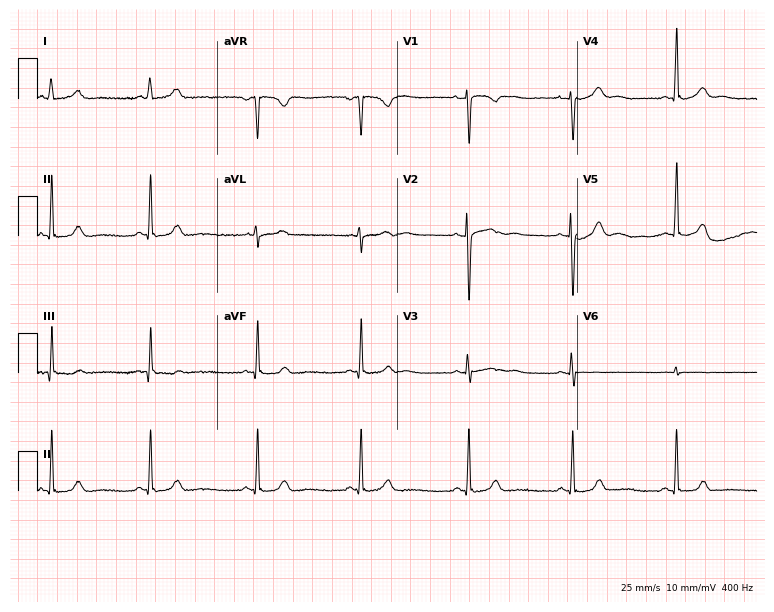
Electrocardiogram (7.3-second recording at 400 Hz), a 28-year-old female patient. Overall reading on record: normal ECG.